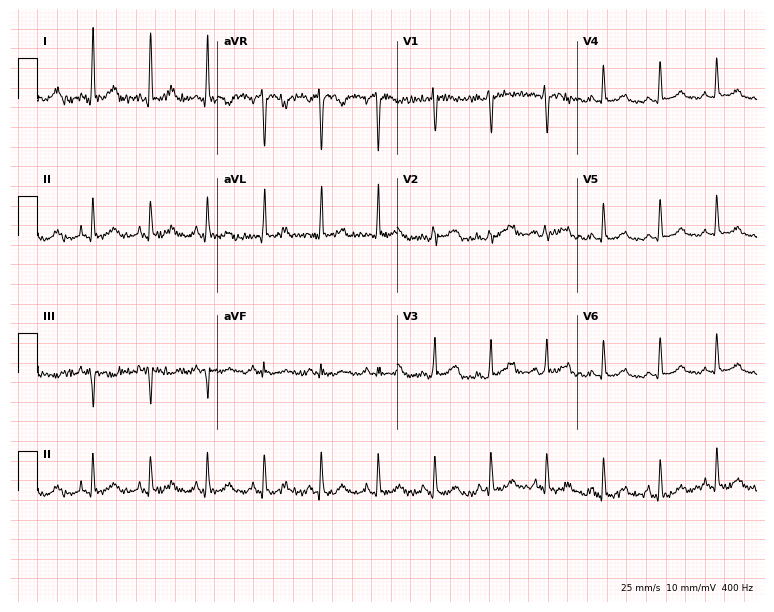
Resting 12-lead electrocardiogram (7.3-second recording at 400 Hz). Patient: a 56-year-old woman. The tracing shows sinus tachycardia (a sinus rate of 100 beats per minute or more).